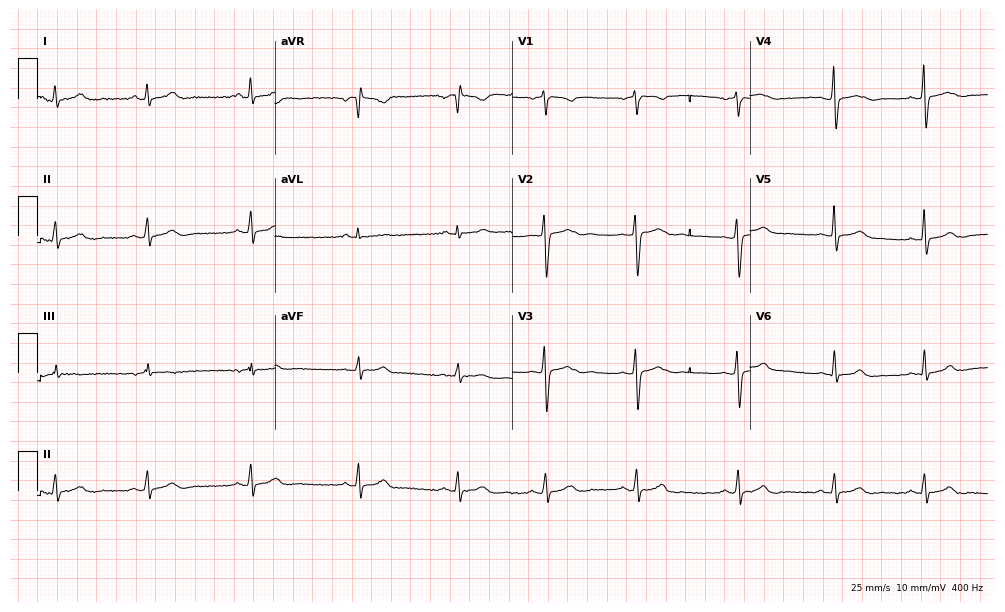
Standard 12-lead ECG recorded from a female patient, 24 years old. None of these six findings is recorded: first-degree AV block, right bundle branch block, left bundle branch block, sinus bradycardia, atrial fibrillation, sinus tachycardia. Findings outside these six are not listed.